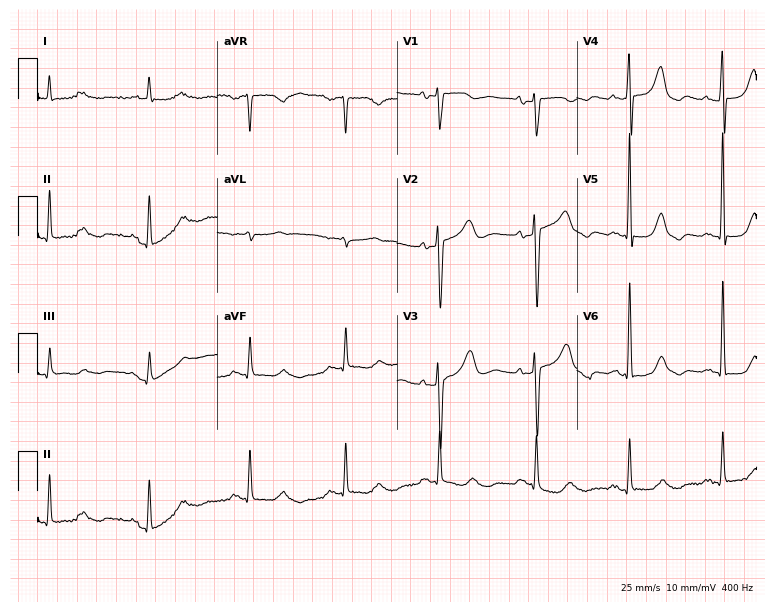
Standard 12-lead ECG recorded from a woman, 80 years old (7.3-second recording at 400 Hz). None of these six findings is recorded: first-degree AV block, right bundle branch block (RBBB), left bundle branch block (LBBB), sinus bradycardia, atrial fibrillation (AF), sinus tachycardia. Findings outside these six are not listed.